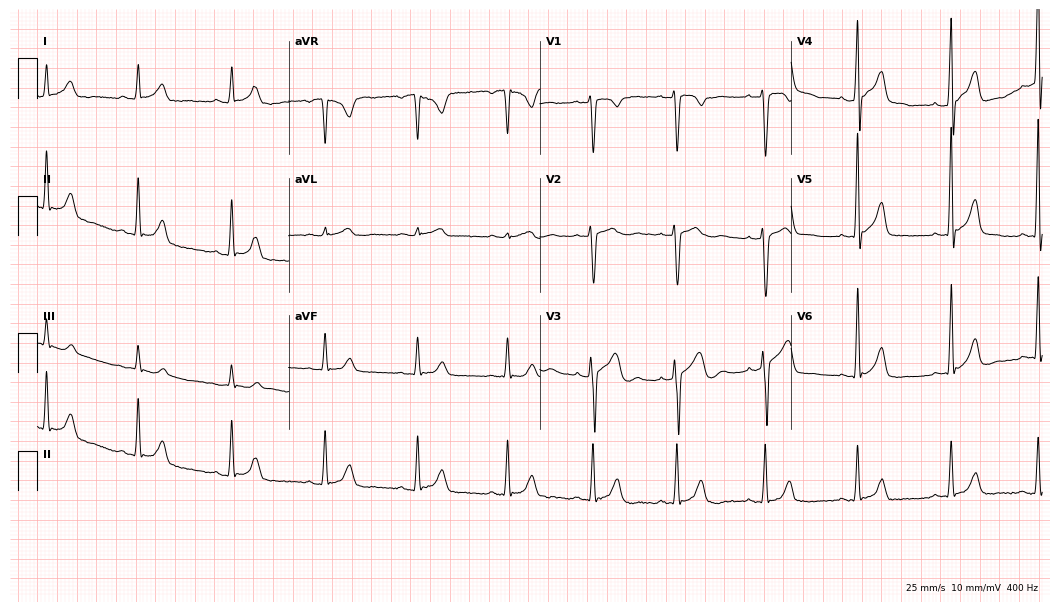
Electrocardiogram, a 29-year-old man. Overall reading on record: normal ECG.